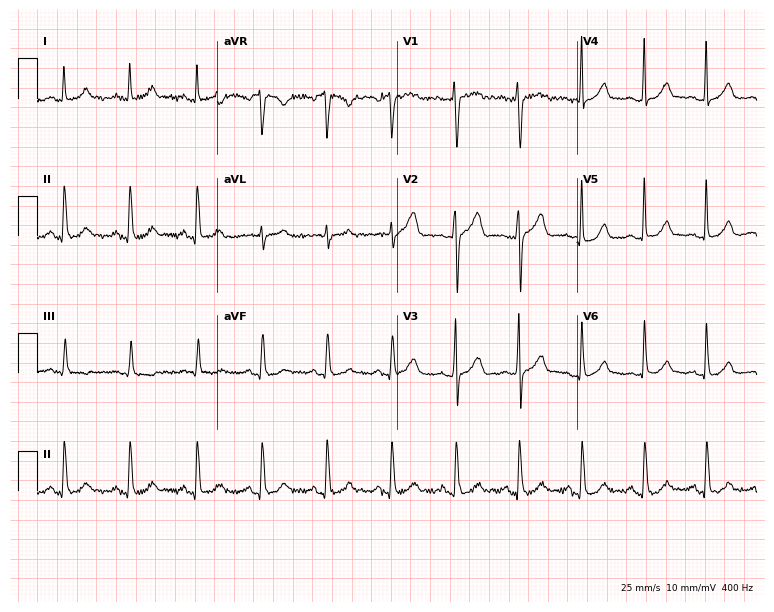
Standard 12-lead ECG recorded from a woman, 25 years old. Read as a normal ECG.